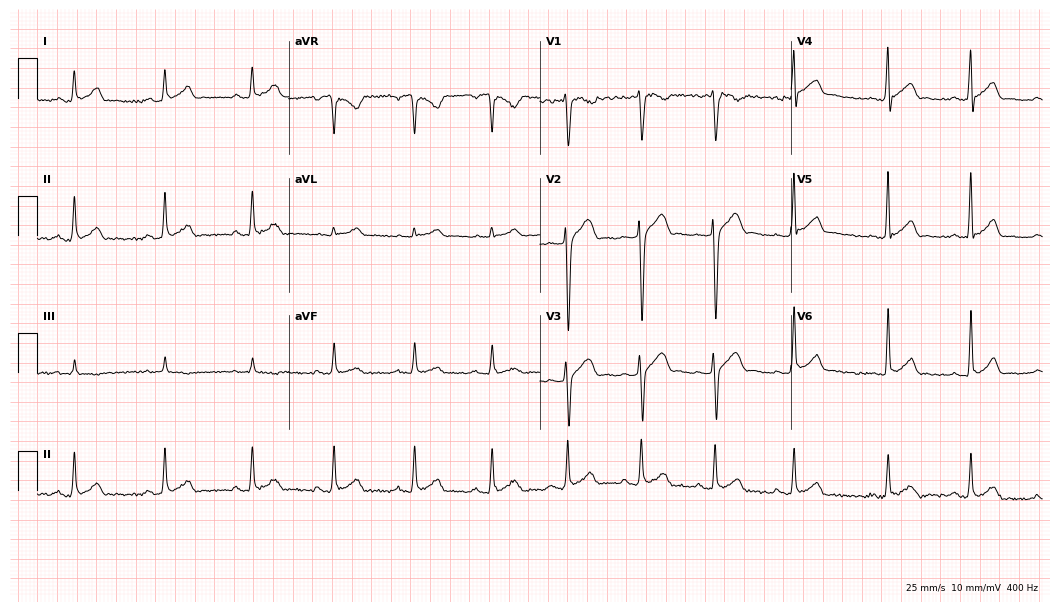
Standard 12-lead ECG recorded from a male, 24 years old. Read as a normal ECG.